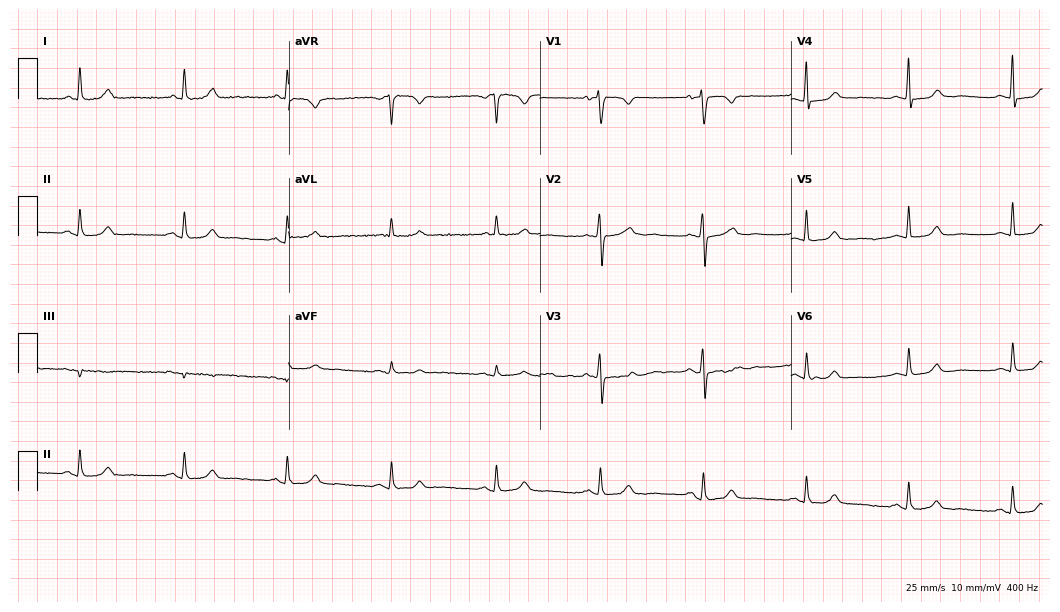
12-lead ECG from a 71-year-old female. Labelled as a normal ECG.